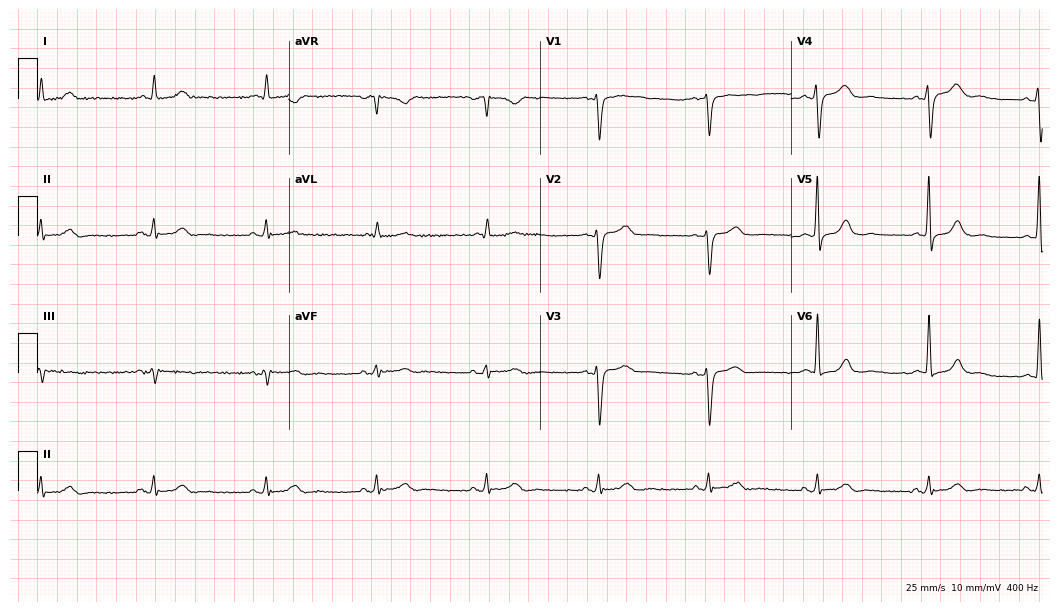
12-lead ECG (10.2-second recording at 400 Hz) from a 76-year-old woman. Labelled as a normal ECG.